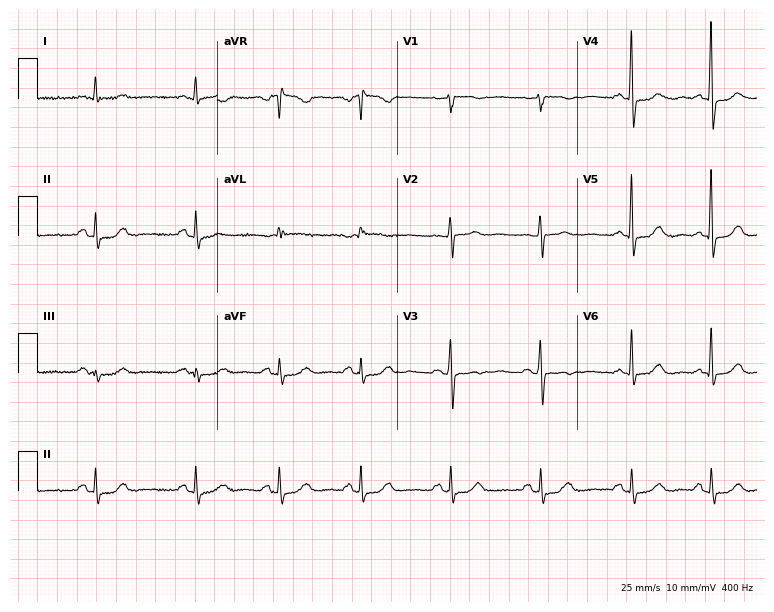
ECG — a 52-year-old female. Labelled as a normal ECG.